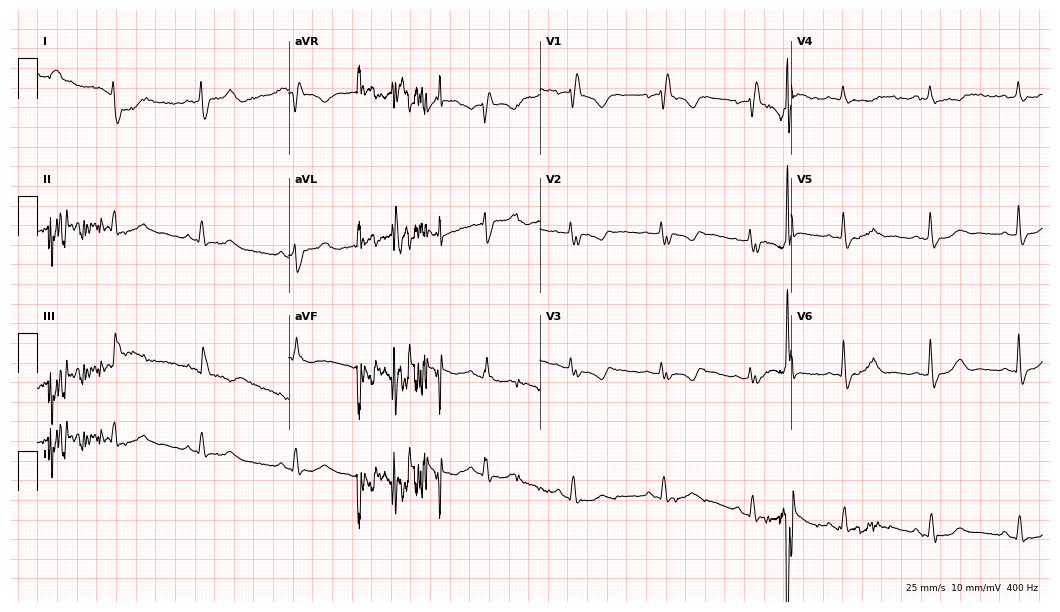
12-lead ECG from a woman, 64 years old. No first-degree AV block, right bundle branch block, left bundle branch block, sinus bradycardia, atrial fibrillation or sinus tachycardia recorded for this tracing.